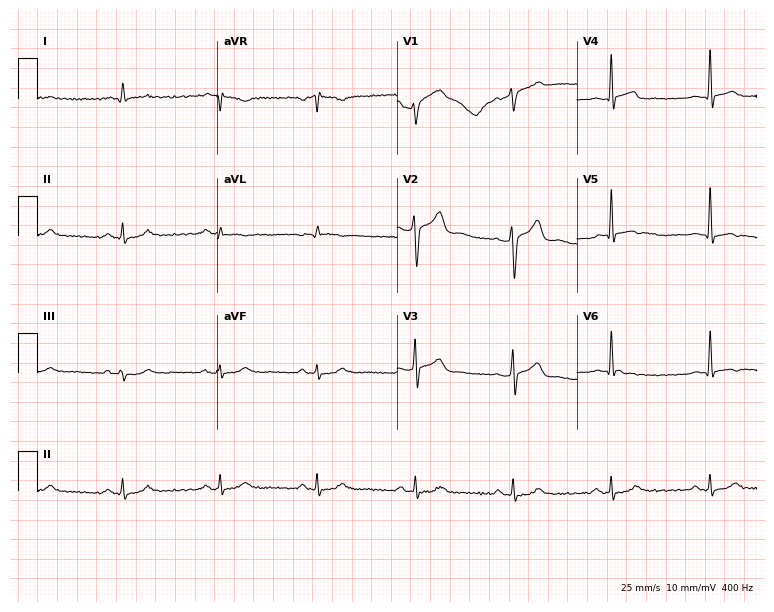
Standard 12-lead ECG recorded from a male patient, 46 years old. None of these six findings is recorded: first-degree AV block, right bundle branch block, left bundle branch block, sinus bradycardia, atrial fibrillation, sinus tachycardia. Other findings, if any, are not listed.